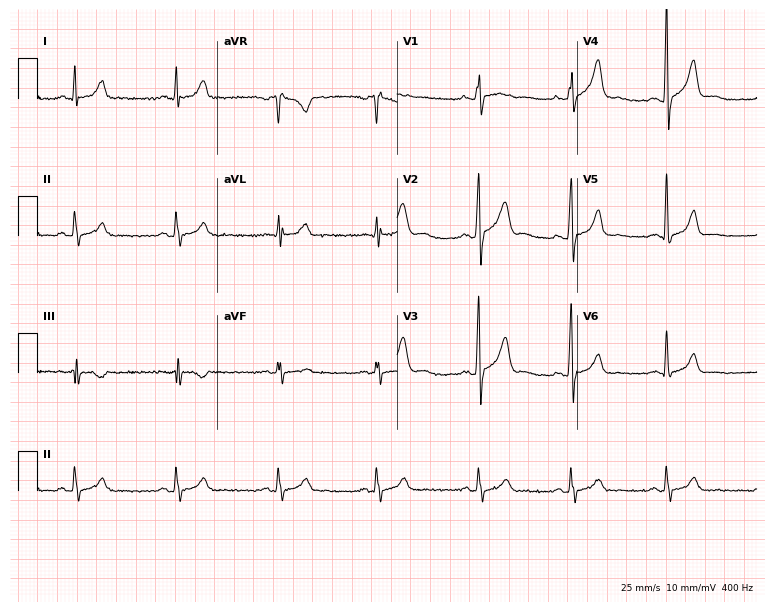
12-lead ECG (7.3-second recording at 400 Hz) from a 24-year-old male. Labelled as a normal ECG.